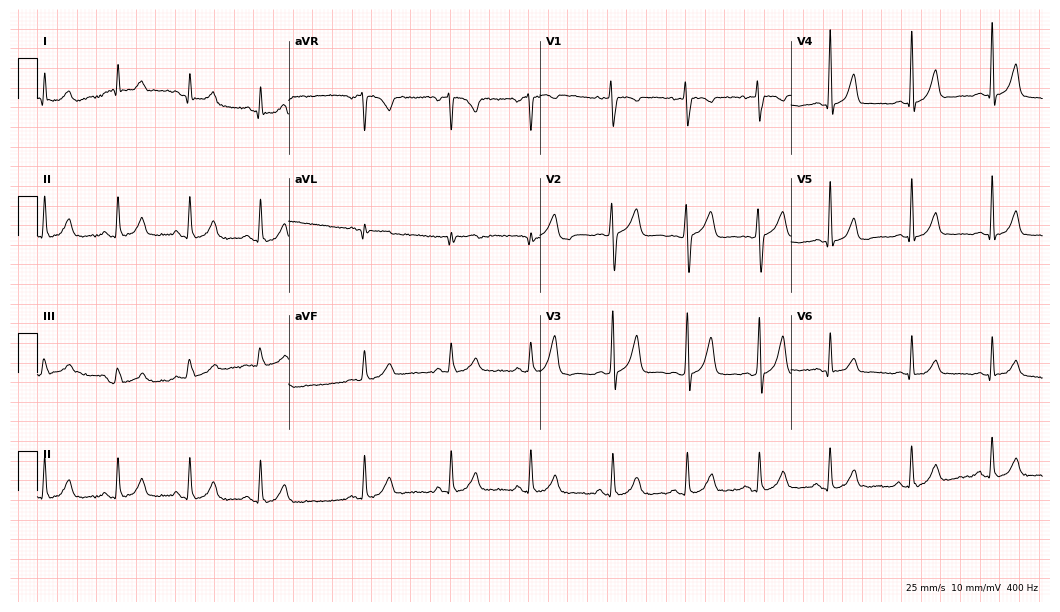
Electrocardiogram, a female, 37 years old. Of the six screened findings (first-degree AV block, right bundle branch block (RBBB), left bundle branch block (LBBB), sinus bradycardia, atrial fibrillation (AF), sinus tachycardia), none is recorded.